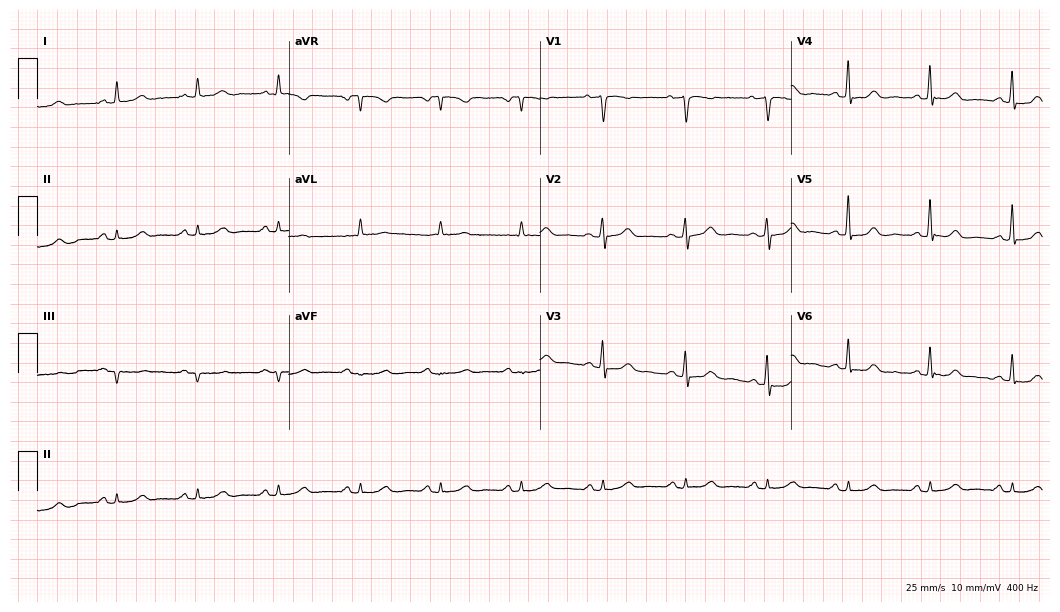
Resting 12-lead electrocardiogram (10.2-second recording at 400 Hz). Patient: a female, 63 years old. Read as a normal ECG.